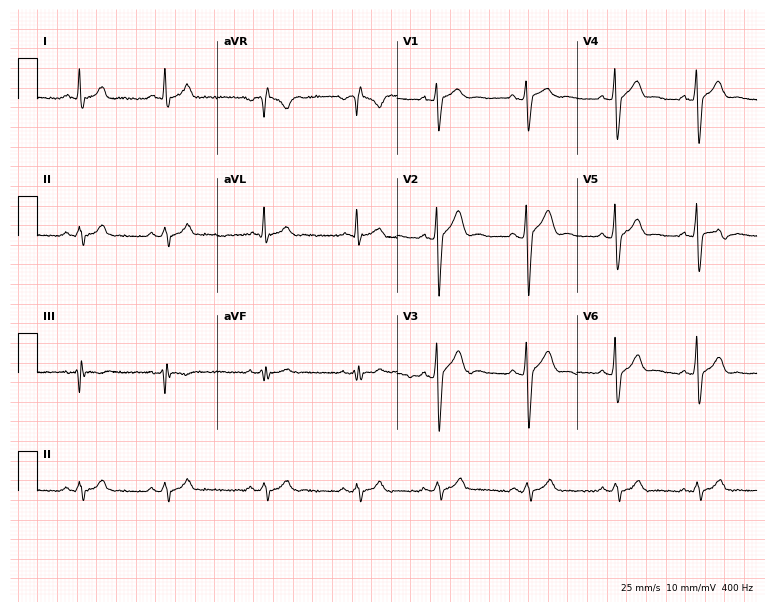
ECG (7.3-second recording at 400 Hz) — a male patient, 24 years old. Screened for six findings — first-degree AV block, right bundle branch block (RBBB), left bundle branch block (LBBB), sinus bradycardia, atrial fibrillation (AF), sinus tachycardia — none is recorded.